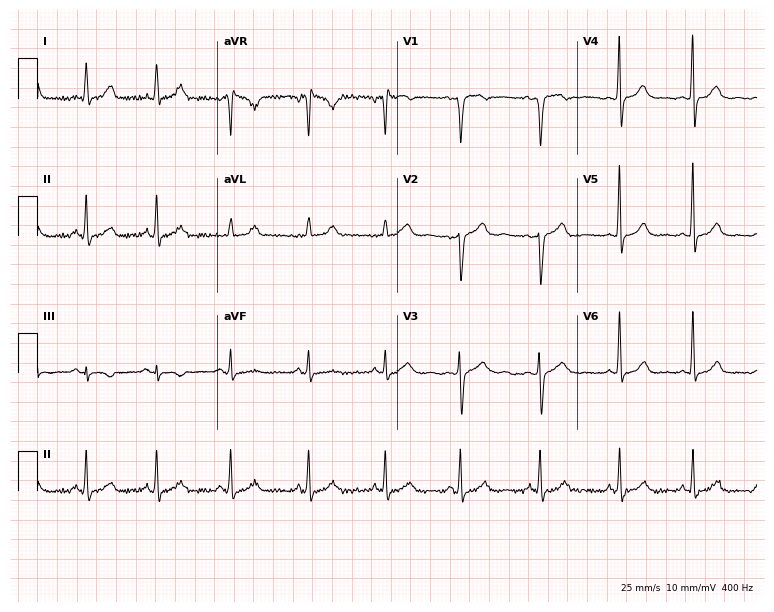
12-lead ECG from a 43-year-old woman. Recorded interpretation: within normal limits.